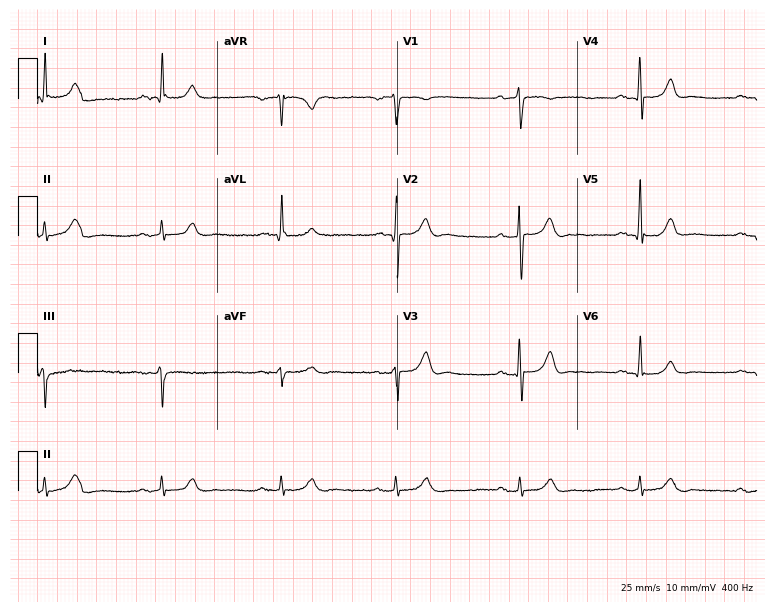
12-lead ECG from a male patient, 76 years old (7.3-second recording at 400 Hz). Shows sinus bradycardia (a sinus rate of 50 beats per minute or less).